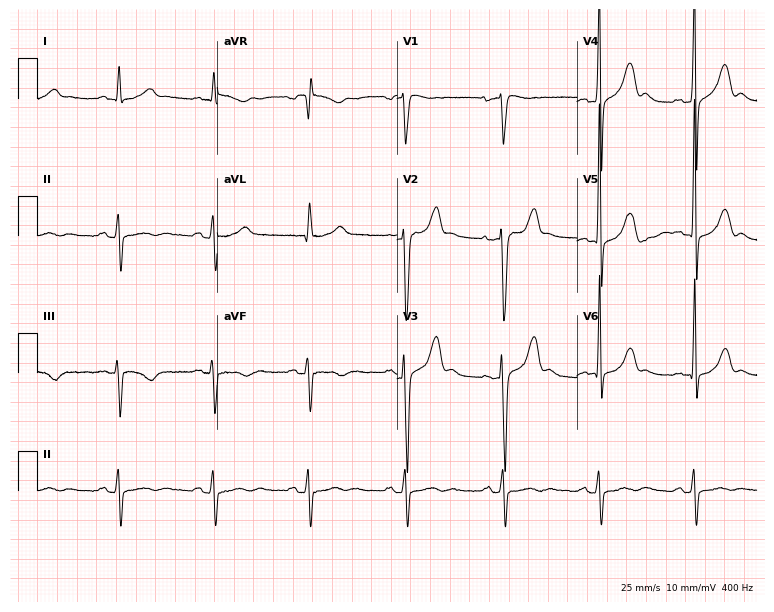
ECG (7.3-second recording at 400 Hz) — a 54-year-old man. Screened for six findings — first-degree AV block, right bundle branch block (RBBB), left bundle branch block (LBBB), sinus bradycardia, atrial fibrillation (AF), sinus tachycardia — none is recorded. Findings outside these six are not listed.